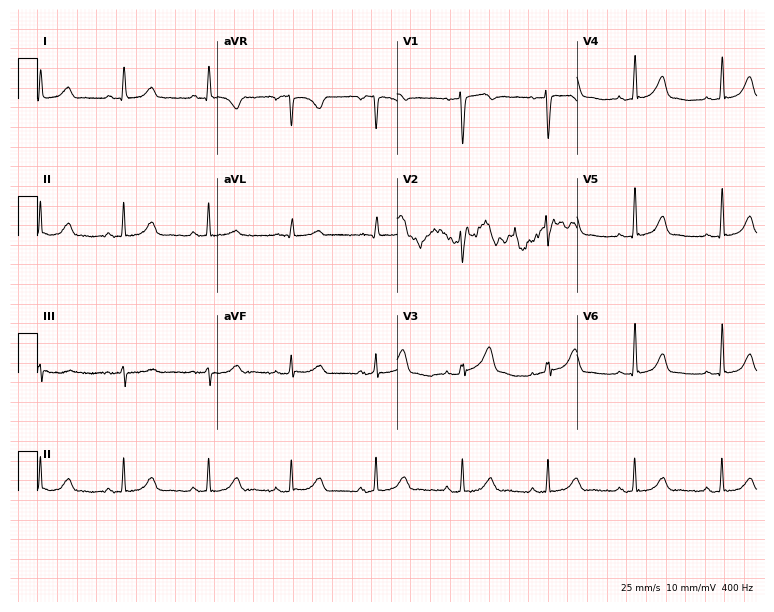
ECG (7.3-second recording at 400 Hz) — a 38-year-old female. Labelled as a normal ECG.